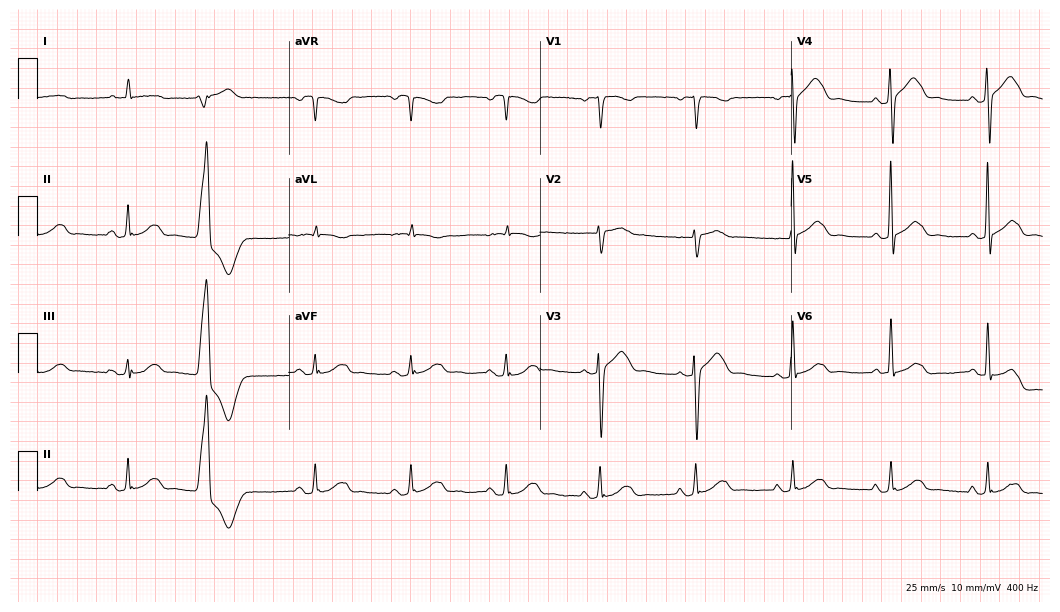
12-lead ECG from an 80-year-old woman. No first-degree AV block, right bundle branch block, left bundle branch block, sinus bradycardia, atrial fibrillation or sinus tachycardia recorded for this tracing.